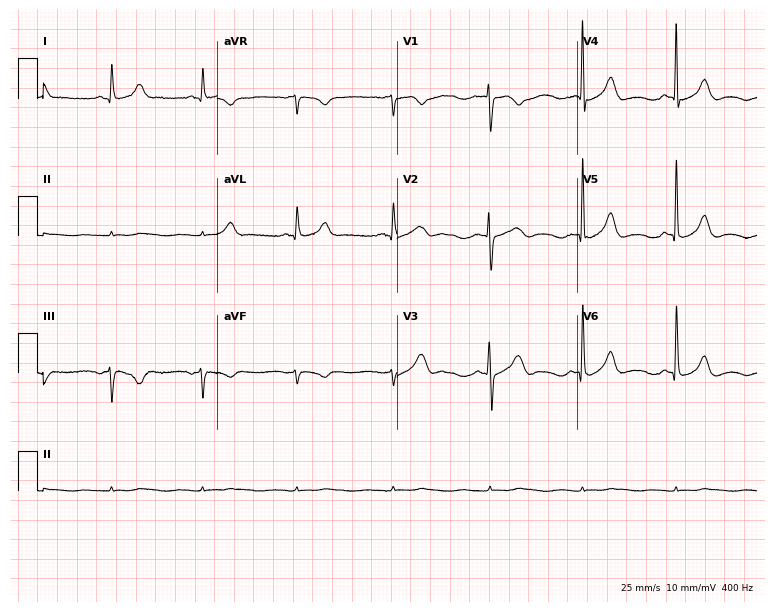
Electrocardiogram (7.3-second recording at 400 Hz), a 26-year-old woman. Overall reading on record: normal ECG.